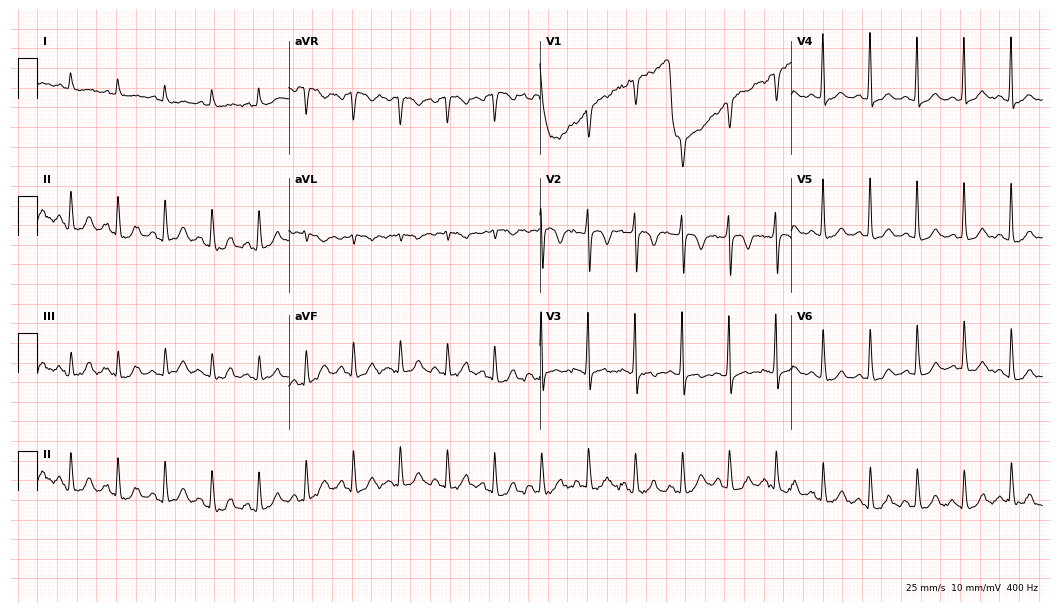
12-lead ECG (10.2-second recording at 400 Hz) from a 78-year-old woman. Findings include sinus tachycardia (a sinus rate of 100 beats per minute or more).